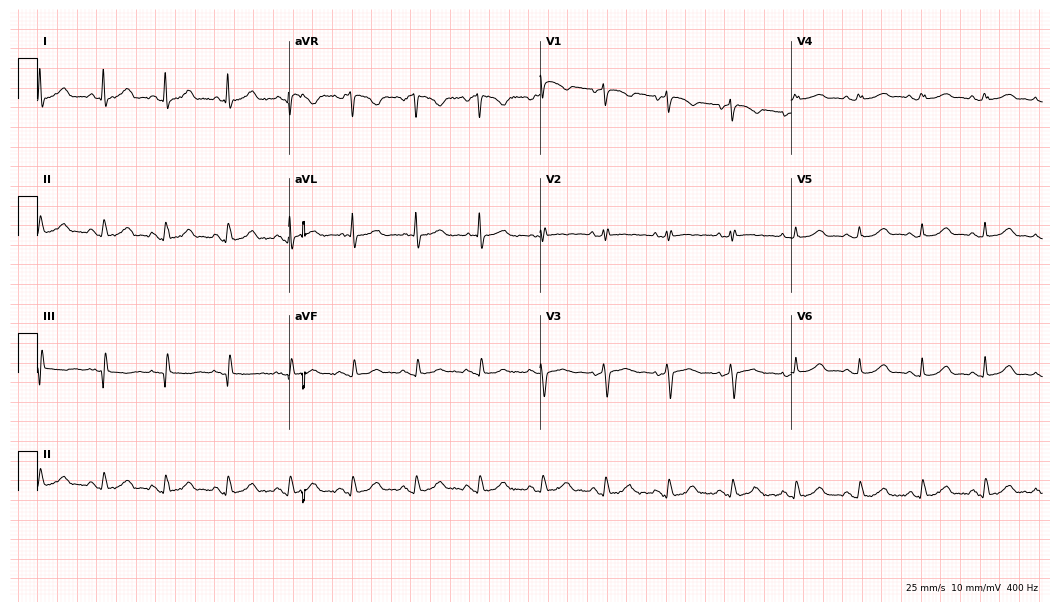
Electrocardiogram, a female, 69 years old. Of the six screened findings (first-degree AV block, right bundle branch block, left bundle branch block, sinus bradycardia, atrial fibrillation, sinus tachycardia), none is recorded.